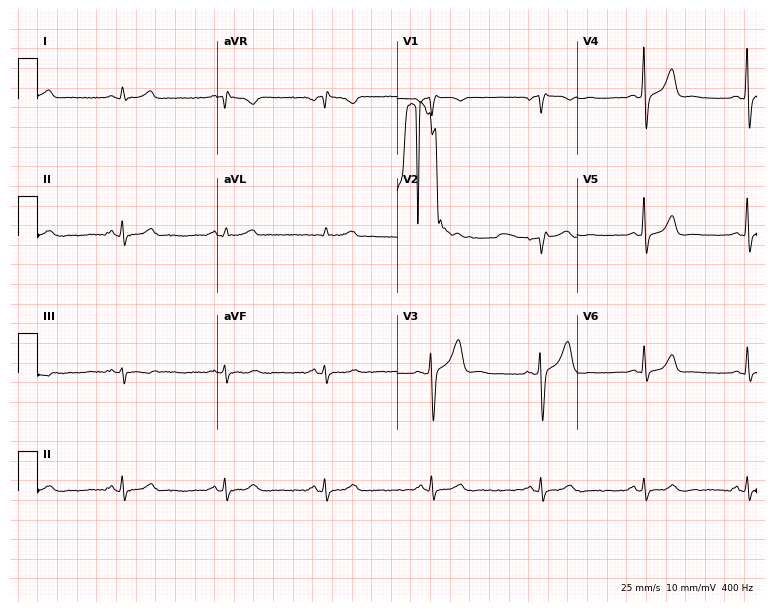
Electrocardiogram (7.3-second recording at 400 Hz), a 55-year-old male. Of the six screened findings (first-degree AV block, right bundle branch block, left bundle branch block, sinus bradycardia, atrial fibrillation, sinus tachycardia), none is recorded.